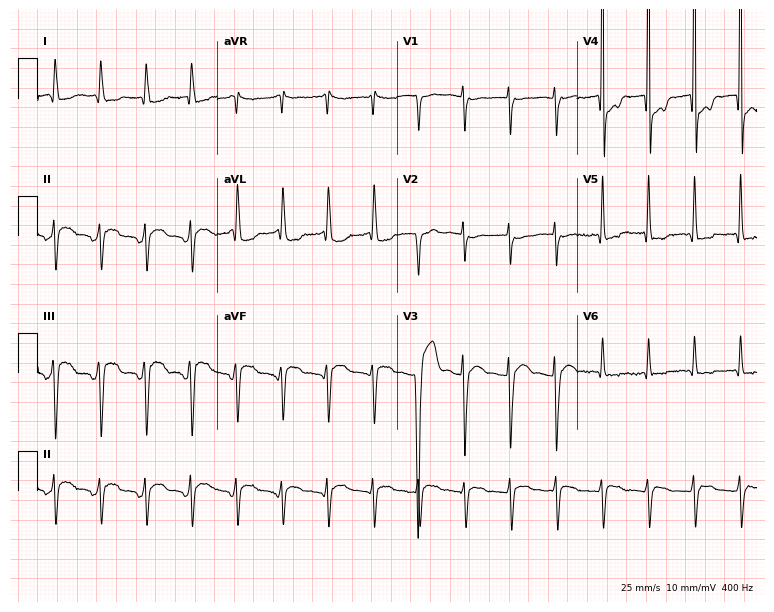
12-lead ECG from a woman, 72 years old. Screened for six findings — first-degree AV block, right bundle branch block, left bundle branch block, sinus bradycardia, atrial fibrillation, sinus tachycardia — none is recorded. Only these six findings were labelled.